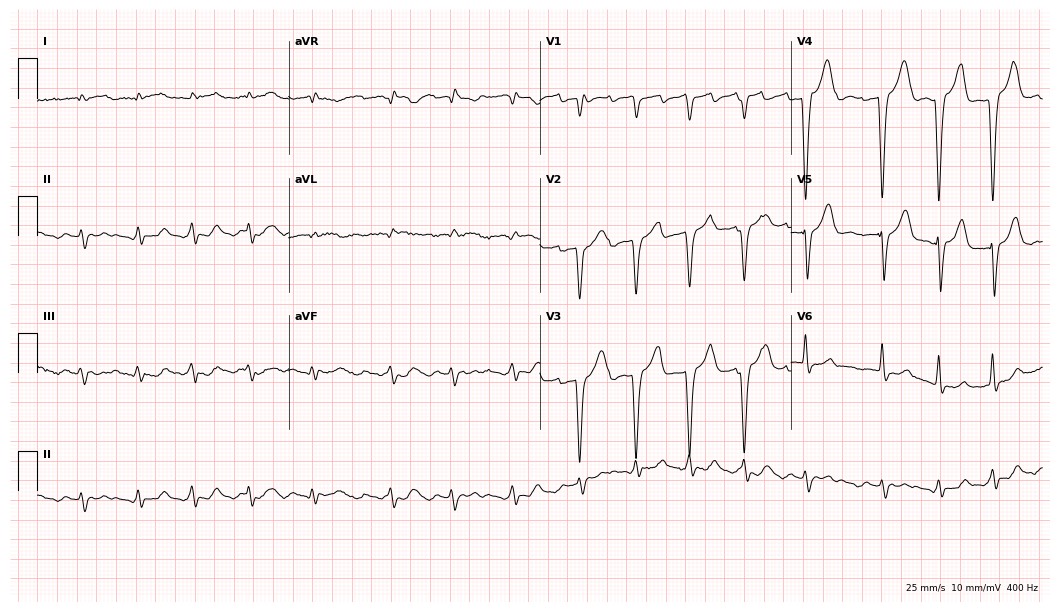
Resting 12-lead electrocardiogram (10.2-second recording at 400 Hz). Patient: a male, 84 years old. The tracing shows atrial fibrillation.